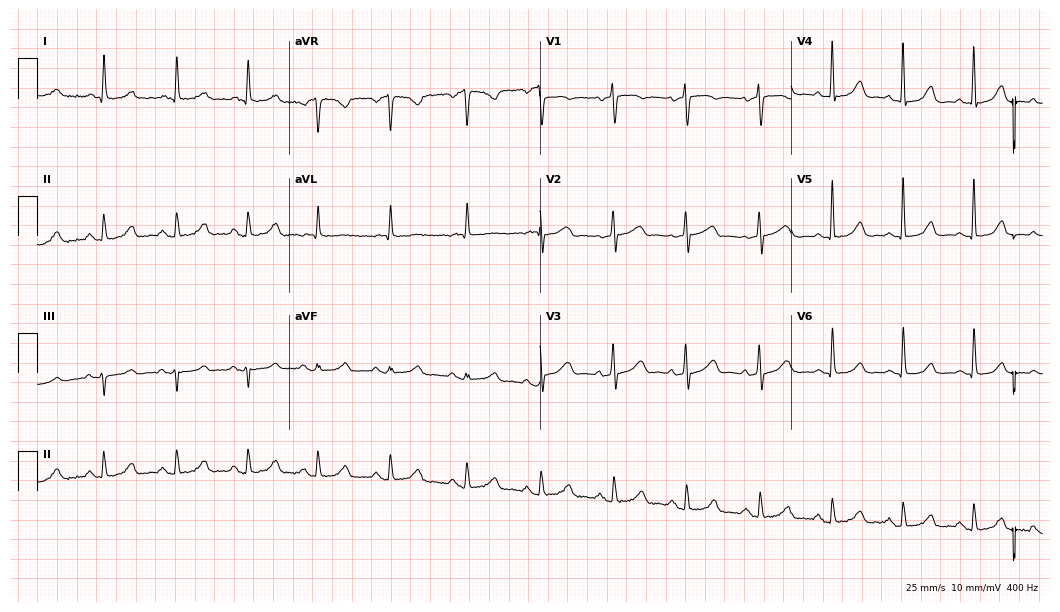
12-lead ECG from a 73-year-old woman. Screened for six findings — first-degree AV block, right bundle branch block (RBBB), left bundle branch block (LBBB), sinus bradycardia, atrial fibrillation (AF), sinus tachycardia — none is recorded. Other findings, if any, are not listed.